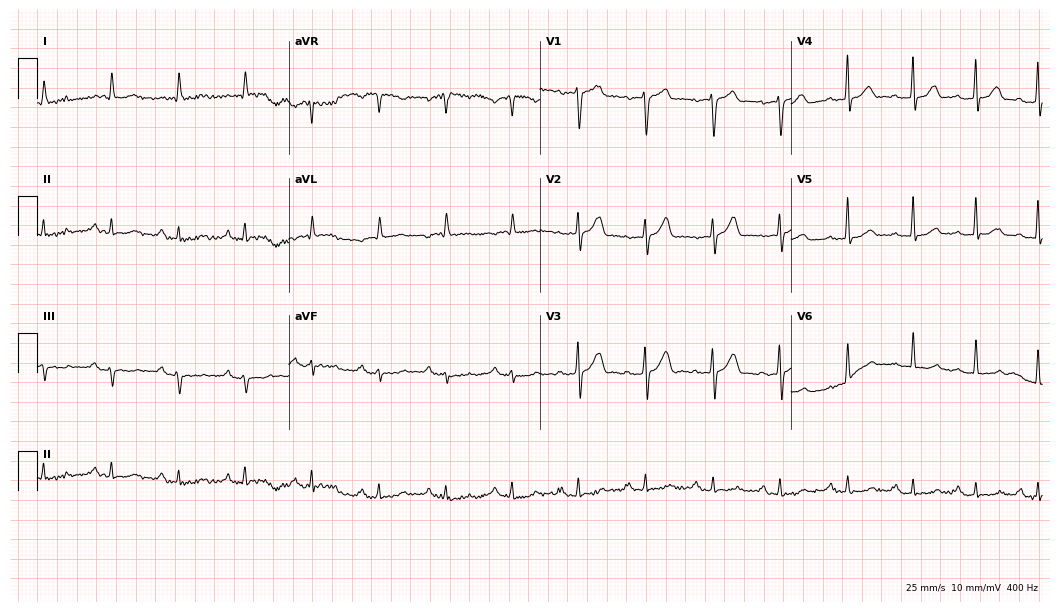
Electrocardiogram (10.2-second recording at 400 Hz), a male, 85 years old. Of the six screened findings (first-degree AV block, right bundle branch block (RBBB), left bundle branch block (LBBB), sinus bradycardia, atrial fibrillation (AF), sinus tachycardia), none is recorded.